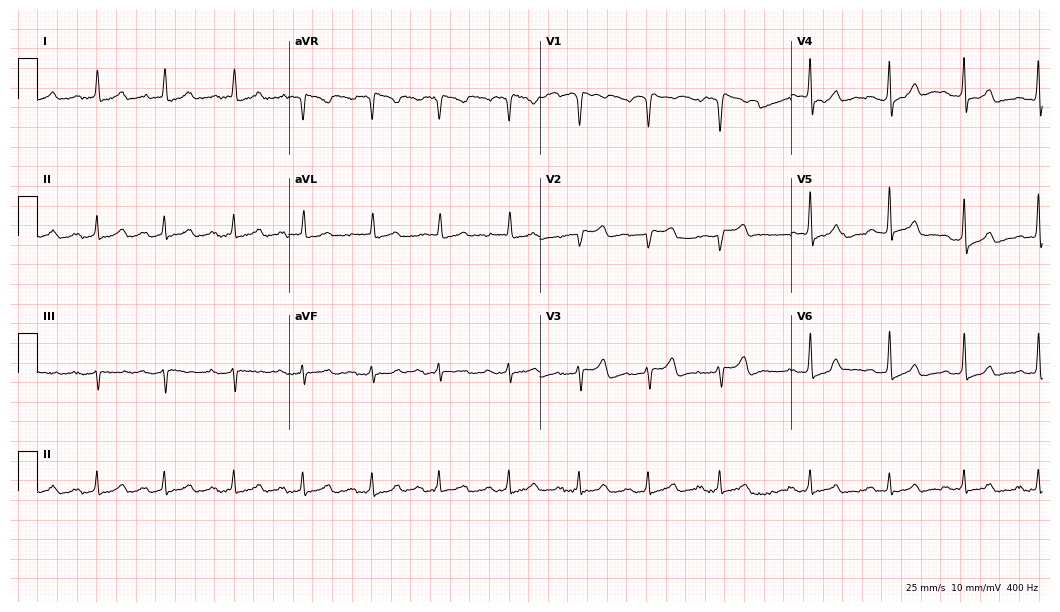
Standard 12-lead ECG recorded from a female patient, 85 years old (10.2-second recording at 400 Hz). None of these six findings is recorded: first-degree AV block, right bundle branch block, left bundle branch block, sinus bradycardia, atrial fibrillation, sinus tachycardia. Findings outside these six are not listed.